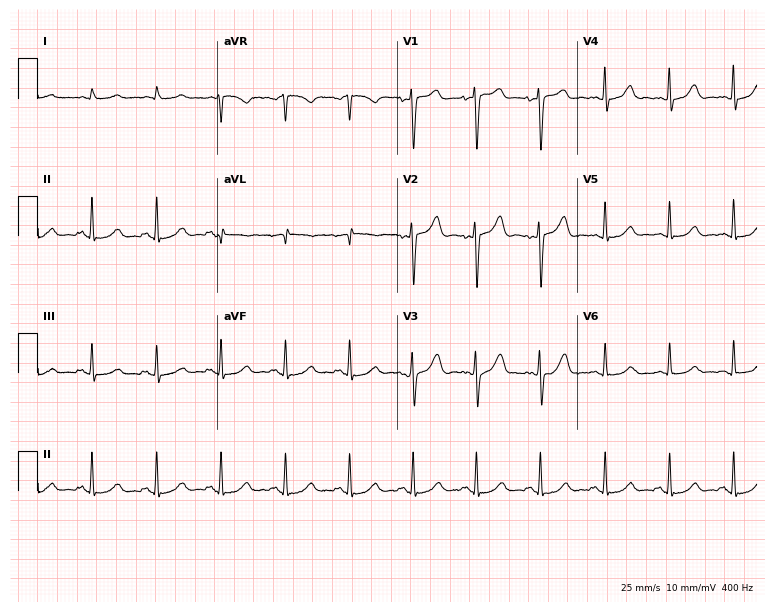
12-lead ECG from a 69-year-old male. Screened for six findings — first-degree AV block, right bundle branch block, left bundle branch block, sinus bradycardia, atrial fibrillation, sinus tachycardia — none is recorded.